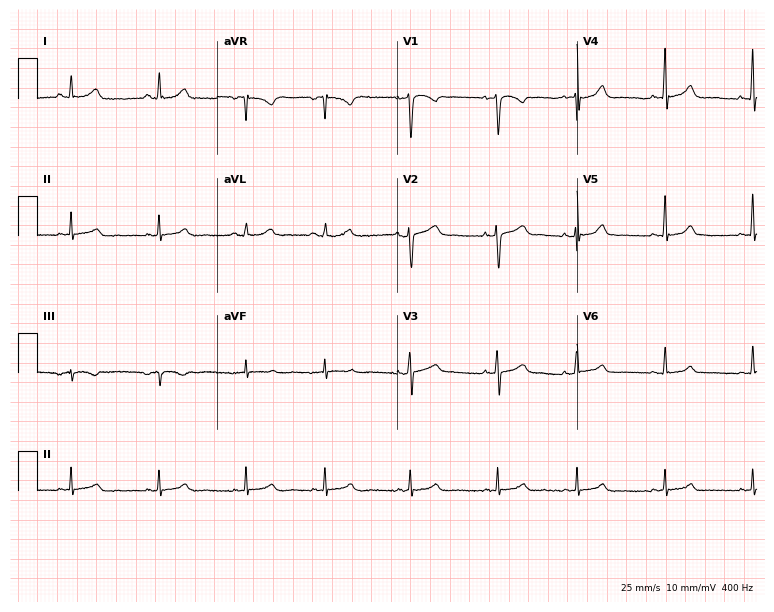
12-lead ECG from a female, 45 years old (7.3-second recording at 400 Hz). No first-degree AV block, right bundle branch block, left bundle branch block, sinus bradycardia, atrial fibrillation or sinus tachycardia recorded for this tracing.